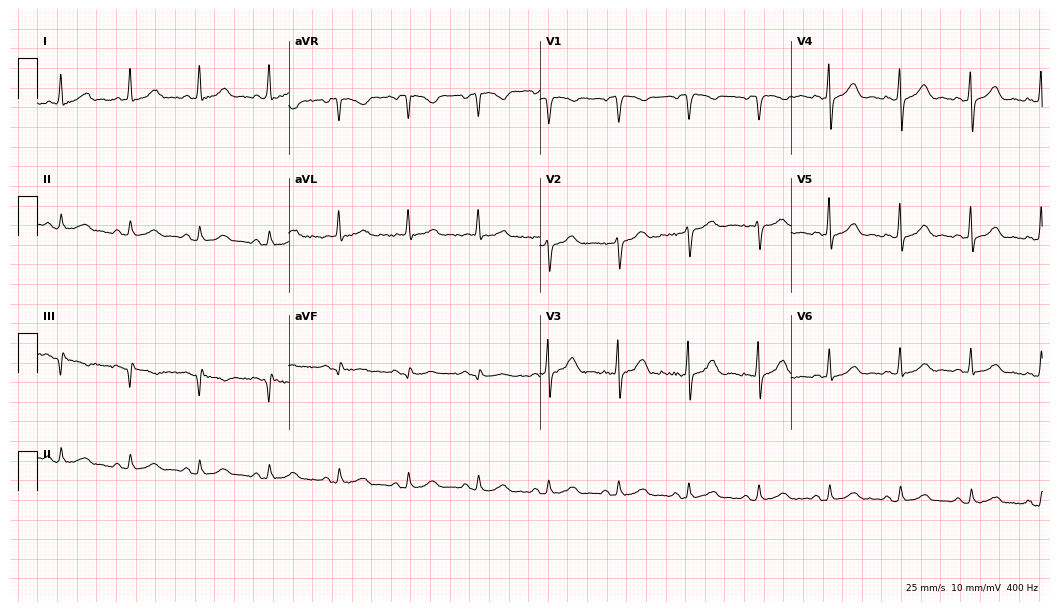
Electrocardiogram (10.2-second recording at 400 Hz), a female, 64 years old. Of the six screened findings (first-degree AV block, right bundle branch block, left bundle branch block, sinus bradycardia, atrial fibrillation, sinus tachycardia), none is recorded.